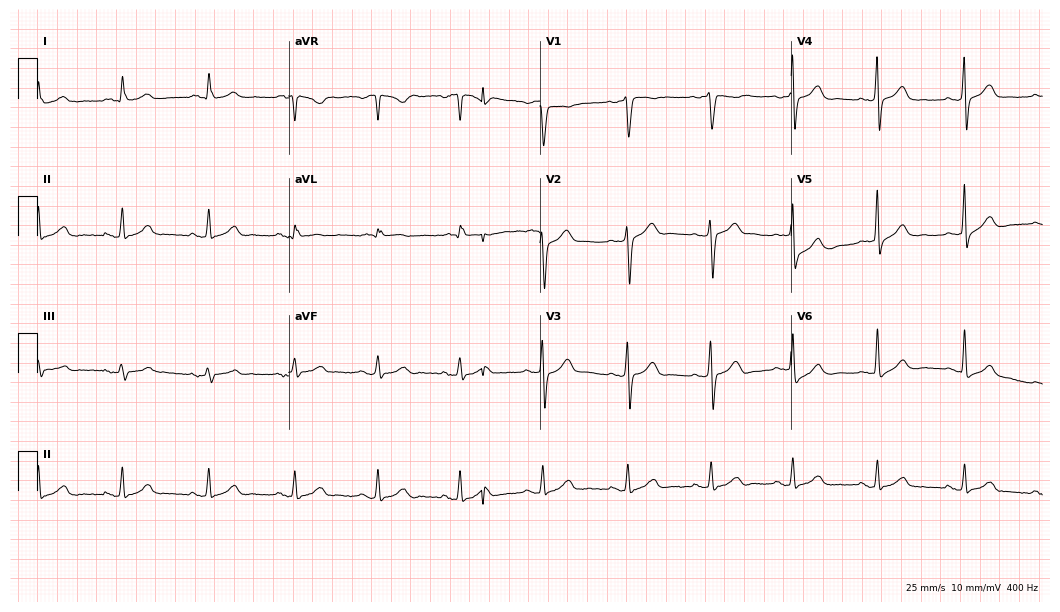
ECG (10.2-second recording at 400 Hz) — a 53-year-old man. Screened for six findings — first-degree AV block, right bundle branch block (RBBB), left bundle branch block (LBBB), sinus bradycardia, atrial fibrillation (AF), sinus tachycardia — none is recorded. Other findings, if any, are not listed.